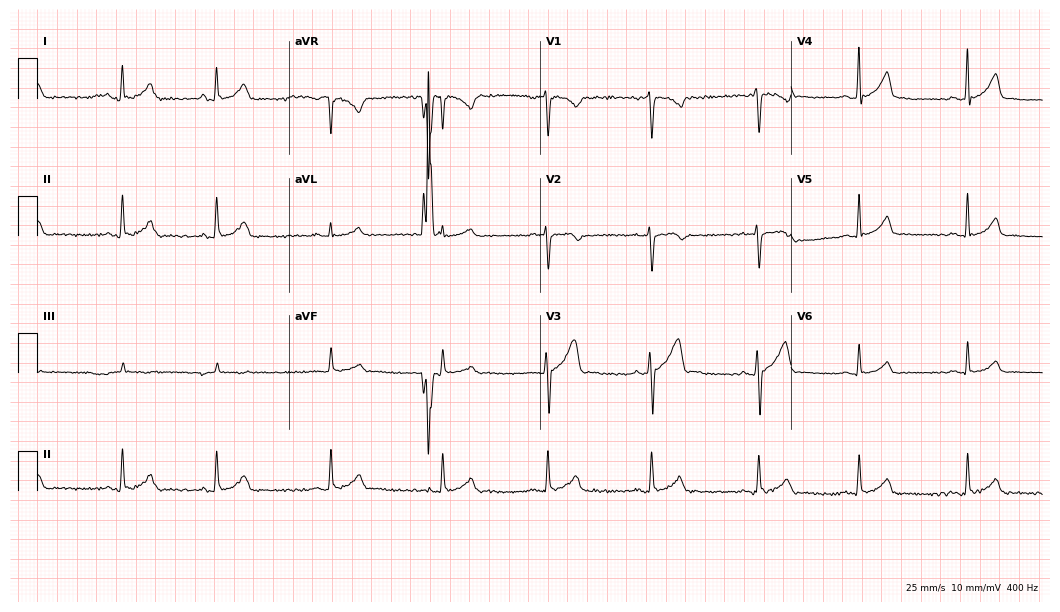
Electrocardiogram (10.2-second recording at 400 Hz), a male patient, 23 years old. Overall reading on record: normal ECG.